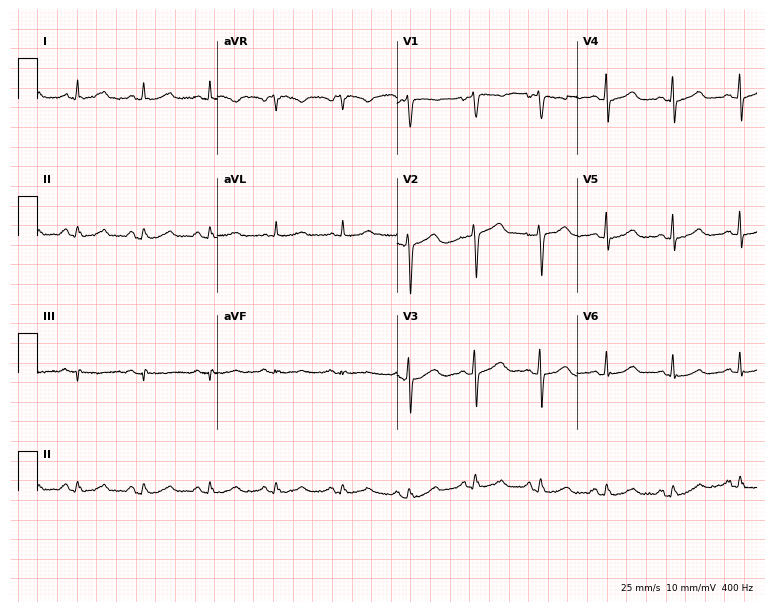
Standard 12-lead ECG recorded from a female, 56 years old (7.3-second recording at 400 Hz). Read as a normal ECG.